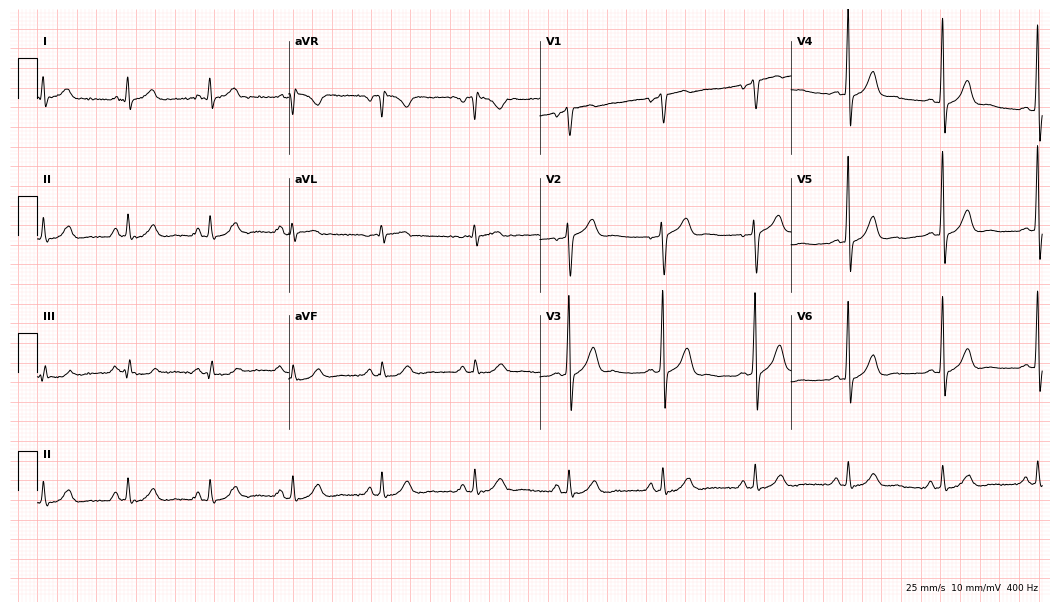
ECG — a 41-year-old male. Labelled as a normal ECG.